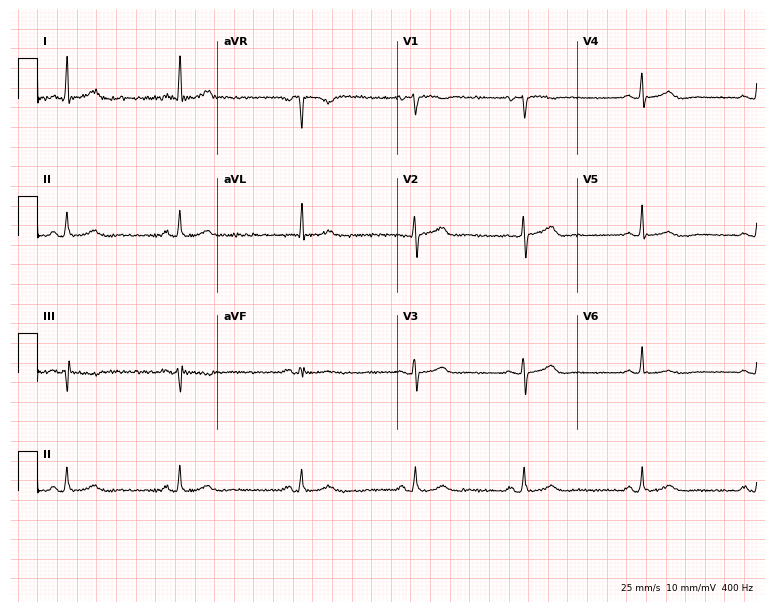
12-lead ECG from a female, 78 years old. Labelled as a normal ECG.